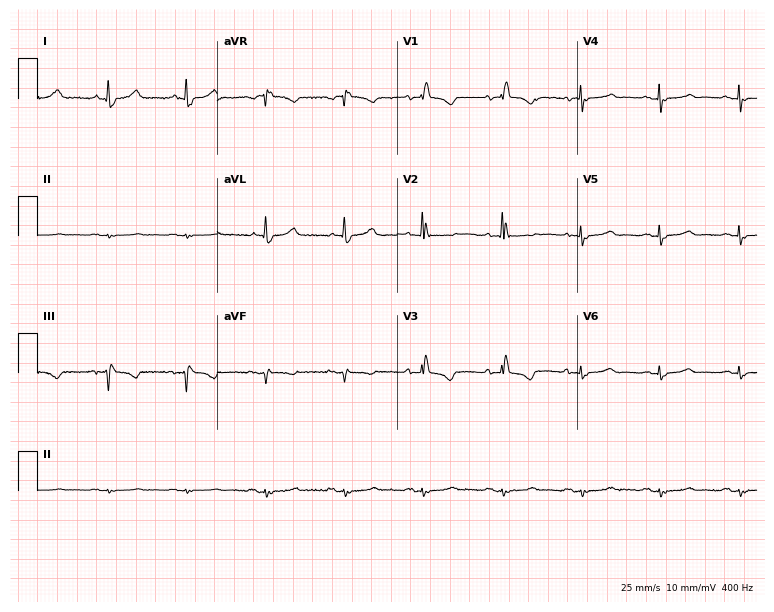
Electrocardiogram (7.3-second recording at 400 Hz), a woman, 75 years old. Of the six screened findings (first-degree AV block, right bundle branch block (RBBB), left bundle branch block (LBBB), sinus bradycardia, atrial fibrillation (AF), sinus tachycardia), none is recorded.